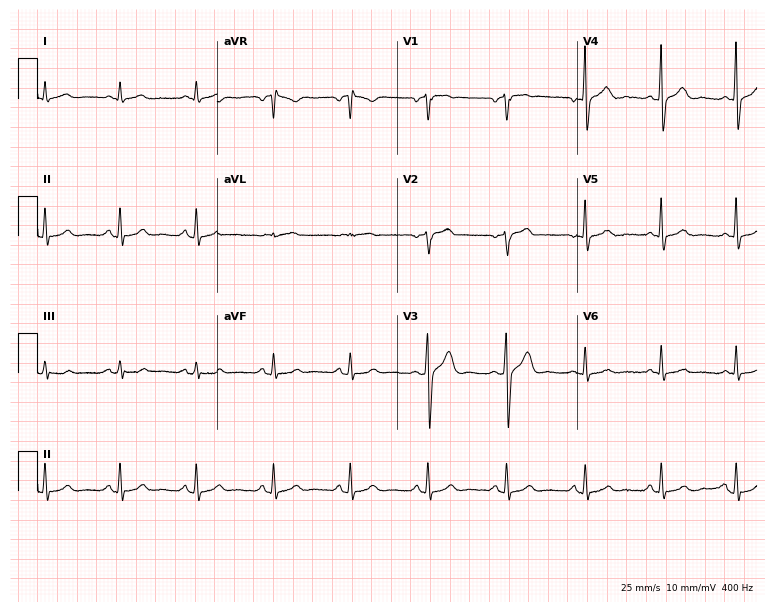
Resting 12-lead electrocardiogram (7.3-second recording at 400 Hz). Patient: a man, 64 years old. None of these six findings is recorded: first-degree AV block, right bundle branch block, left bundle branch block, sinus bradycardia, atrial fibrillation, sinus tachycardia.